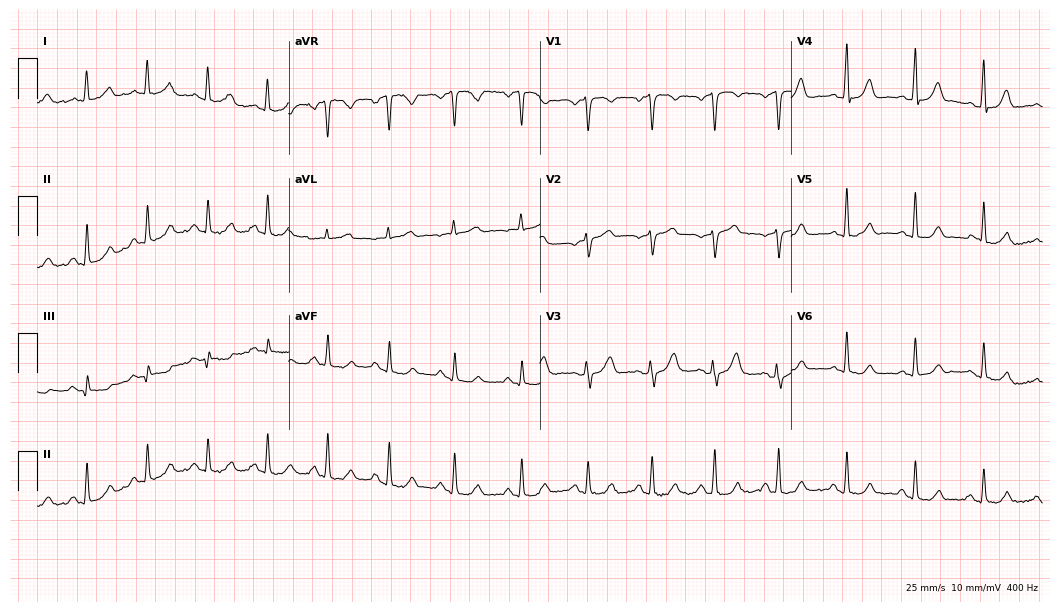
Standard 12-lead ECG recorded from a 58-year-old female. Read as a normal ECG.